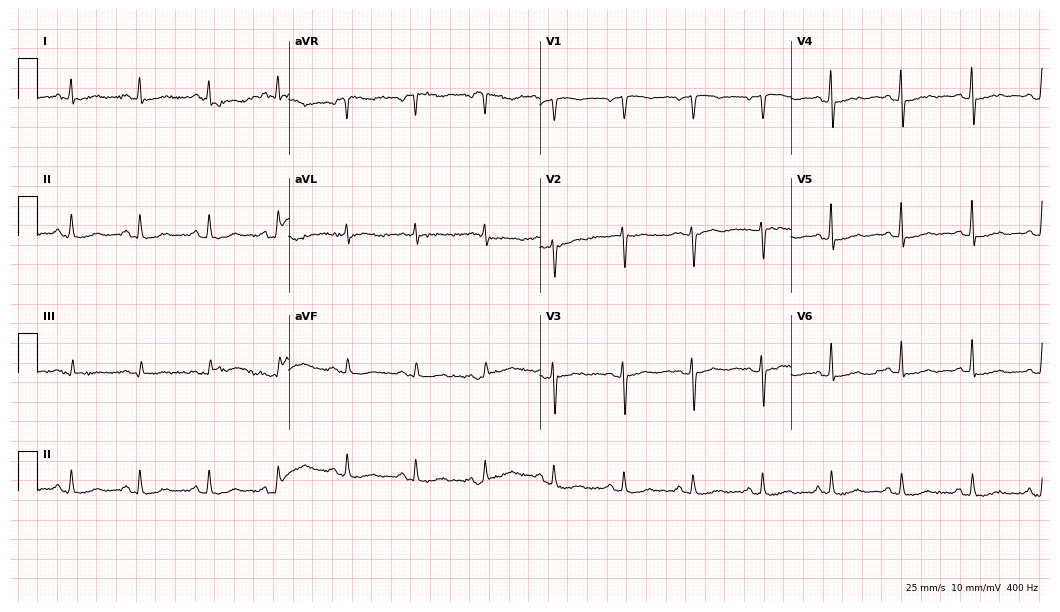
ECG (10.2-second recording at 400 Hz) — a 65-year-old woman. Screened for six findings — first-degree AV block, right bundle branch block, left bundle branch block, sinus bradycardia, atrial fibrillation, sinus tachycardia — none is recorded.